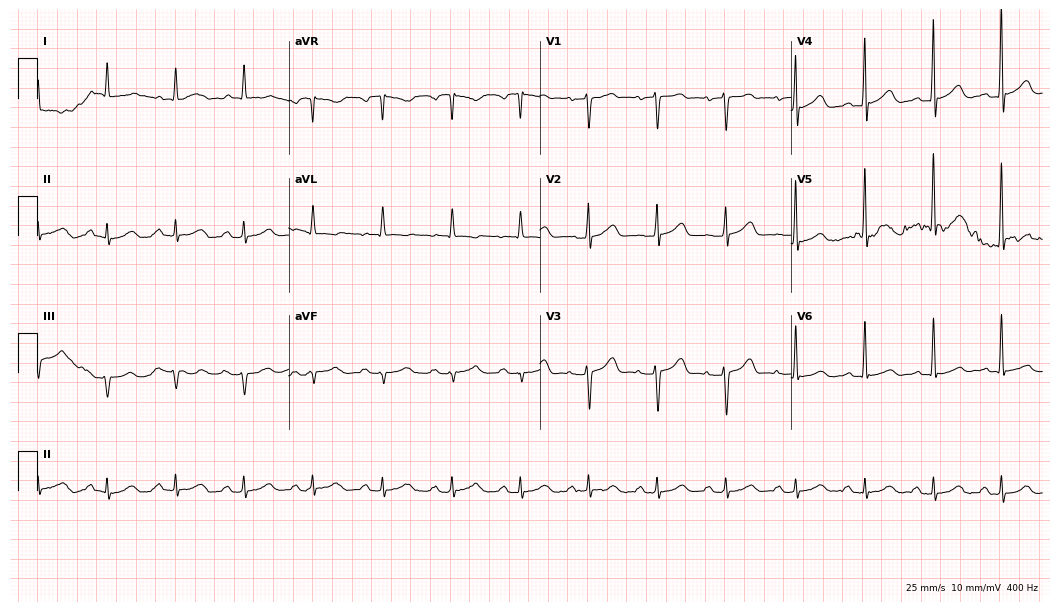
12-lead ECG (10.2-second recording at 400 Hz) from a 71-year-old female. Screened for six findings — first-degree AV block, right bundle branch block, left bundle branch block, sinus bradycardia, atrial fibrillation, sinus tachycardia — none is recorded. Other findings, if any, are not listed.